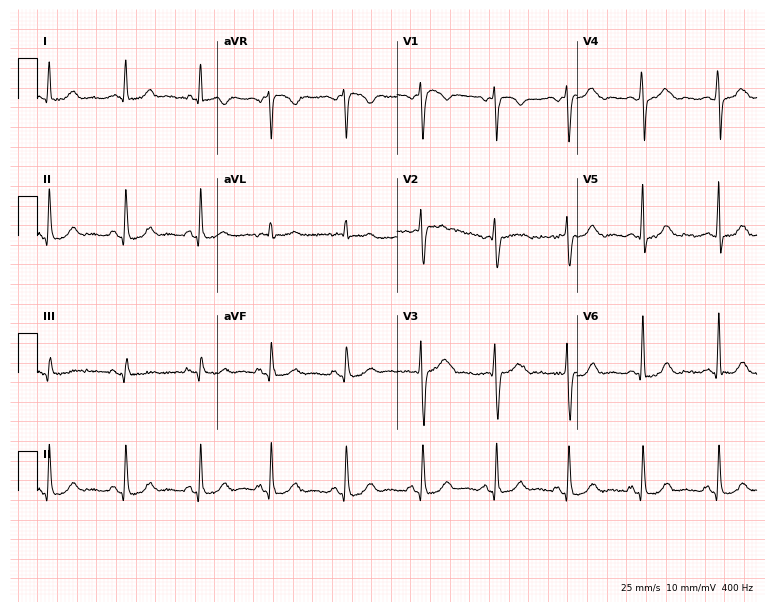
Resting 12-lead electrocardiogram (7.3-second recording at 400 Hz). Patient: a 47-year-old female. None of these six findings is recorded: first-degree AV block, right bundle branch block, left bundle branch block, sinus bradycardia, atrial fibrillation, sinus tachycardia.